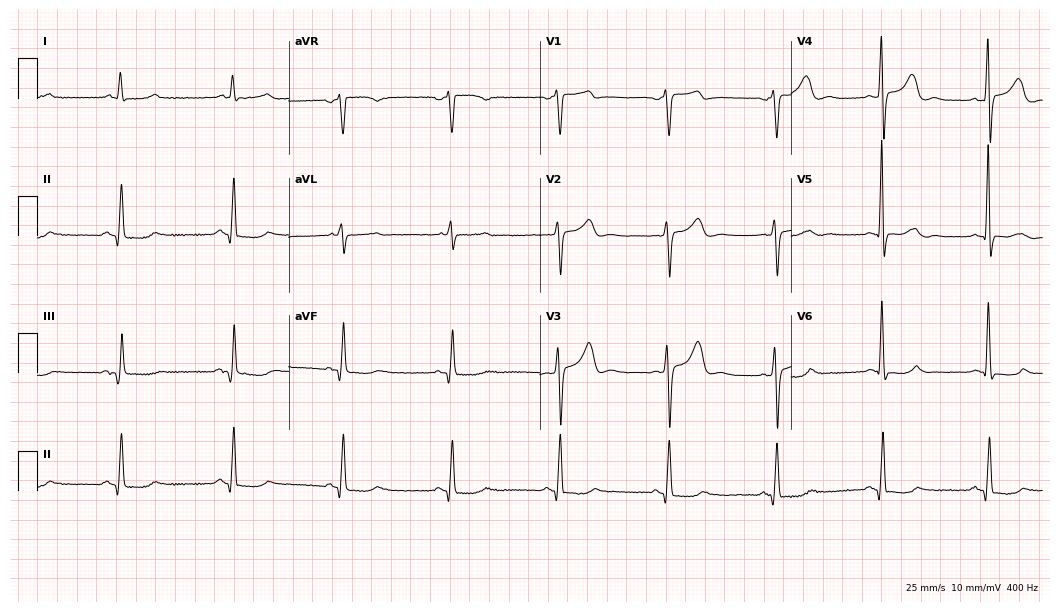
12-lead ECG from a 75-year-old male patient. No first-degree AV block, right bundle branch block, left bundle branch block, sinus bradycardia, atrial fibrillation or sinus tachycardia recorded for this tracing.